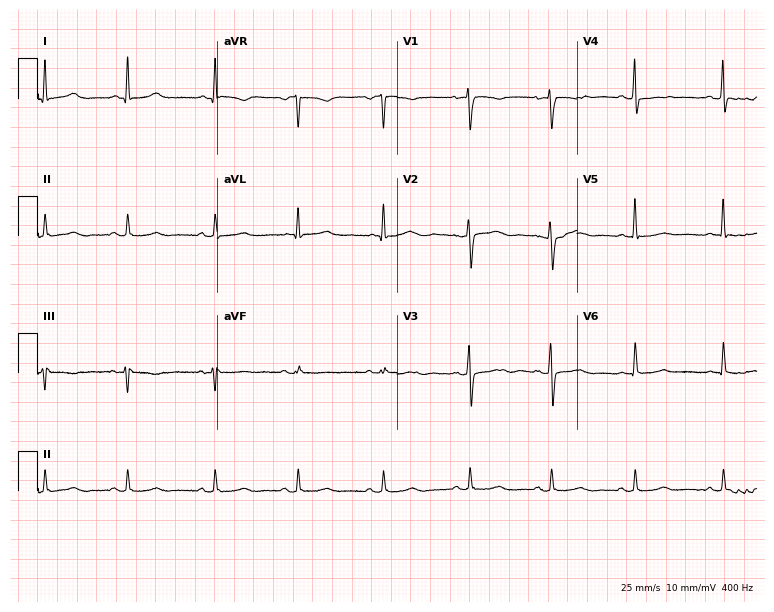
12-lead ECG from a 38-year-old female. Labelled as a normal ECG.